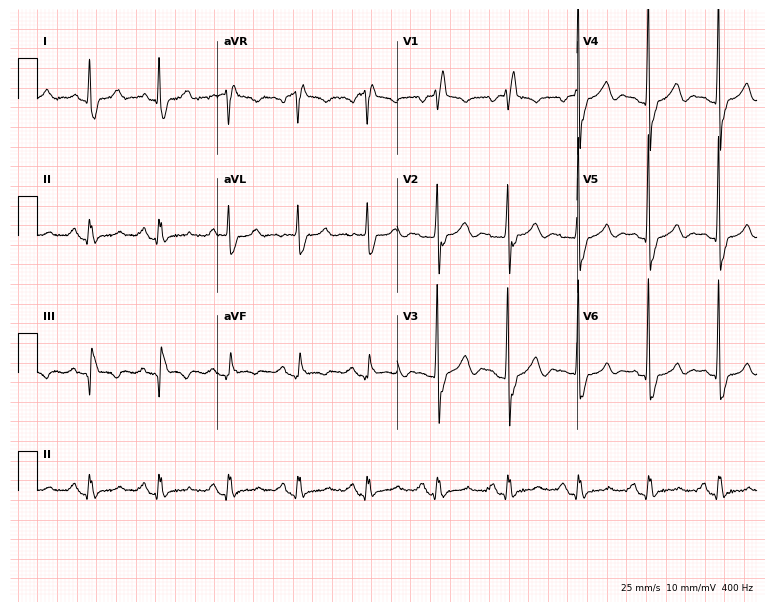
12-lead ECG from a woman, 61 years old (7.3-second recording at 400 Hz). Shows right bundle branch block.